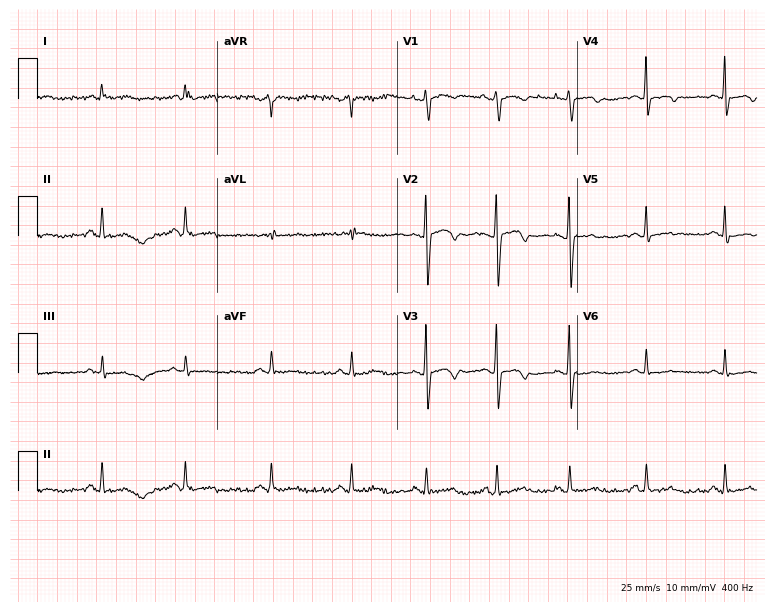
Resting 12-lead electrocardiogram. Patient: a female, 28 years old. None of these six findings is recorded: first-degree AV block, right bundle branch block, left bundle branch block, sinus bradycardia, atrial fibrillation, sinus tachycardia.